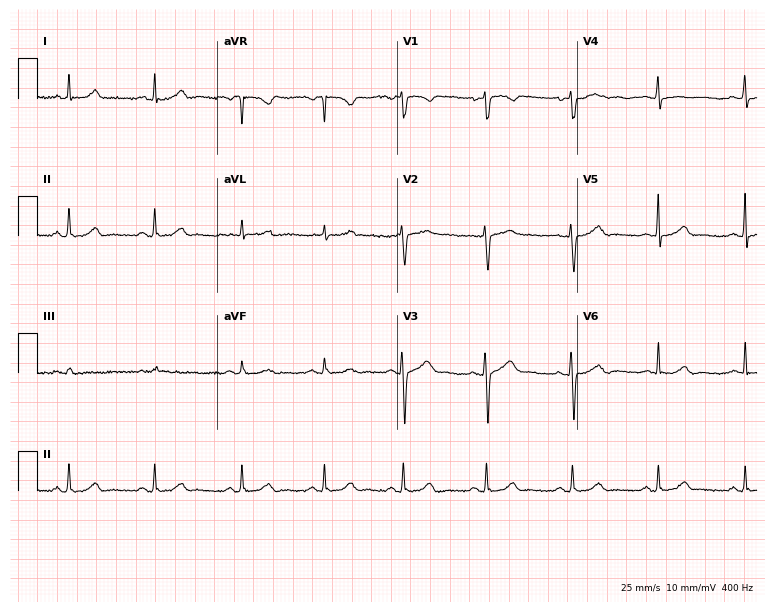
12-lead ECG from a 22-year-old female patient (7.3-second recording at 400 Hz). No first-degree AV block, right bundle branch block (RBBB), left bundle branch block (LBBB), sinus bradycardia, atrial fibrillation (AF) or sinus tachycardia recorded for this tracing. Other findings, if any, are not listed.